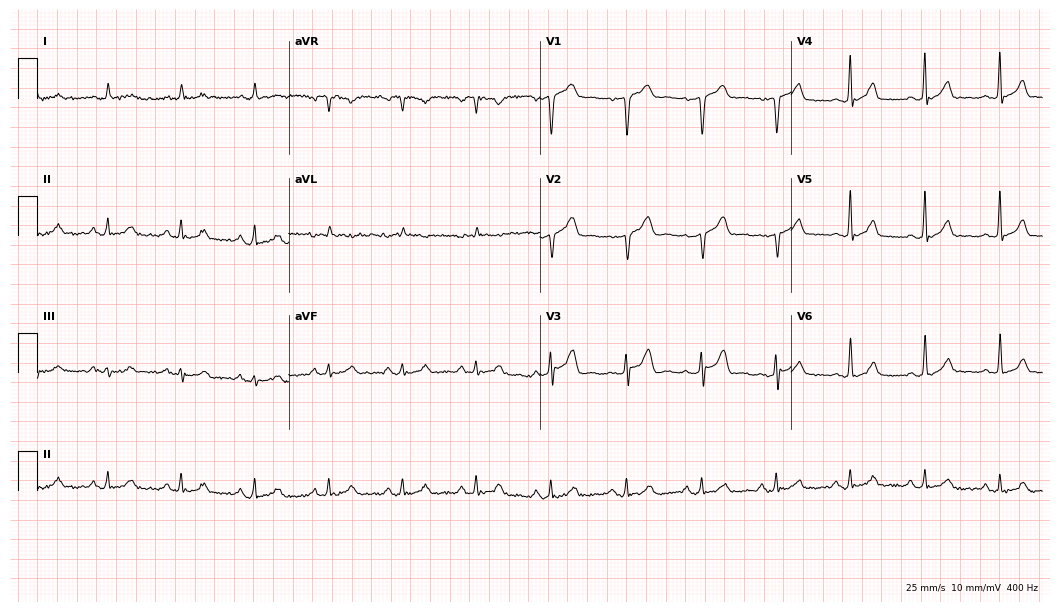
Standard 12-lead ECG recorded from a man, 69 years old. Read as a normal ECG.